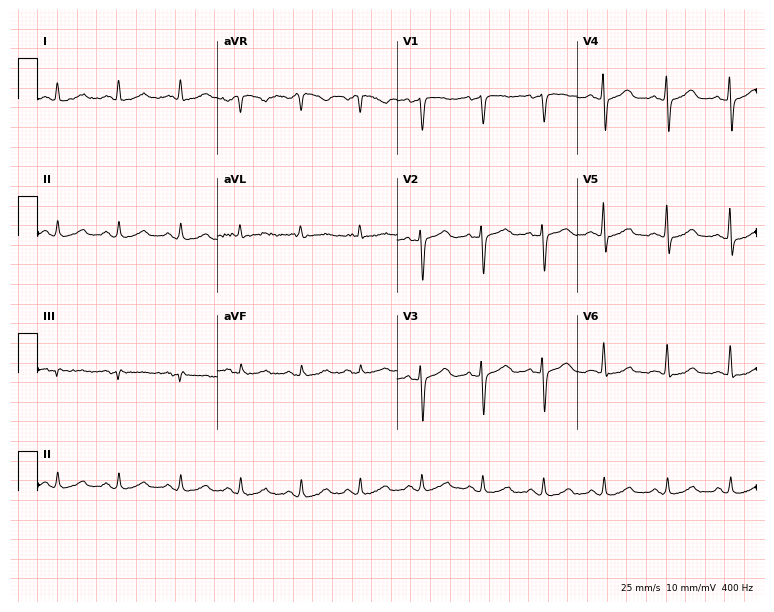
12-lead ECG from a 52-year-old female. Screened for six findings — first-degree AV block, right bundle branch block, left bundle branch block, sinus bradycardia, atrial fibrillation, sinus tachycardia — none is recorded.